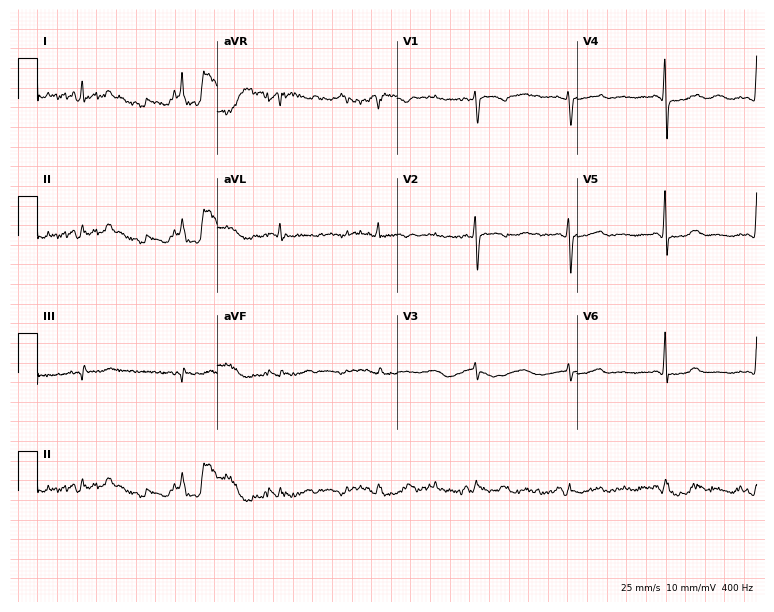
12-lead ECG from a female, 57 years old. Screened for six findings — first-degree AV block, right bundle branch block, left bundle branch block, sinus bradycardia, atrial fibrillation, sinus tachycardia — none is recorded.